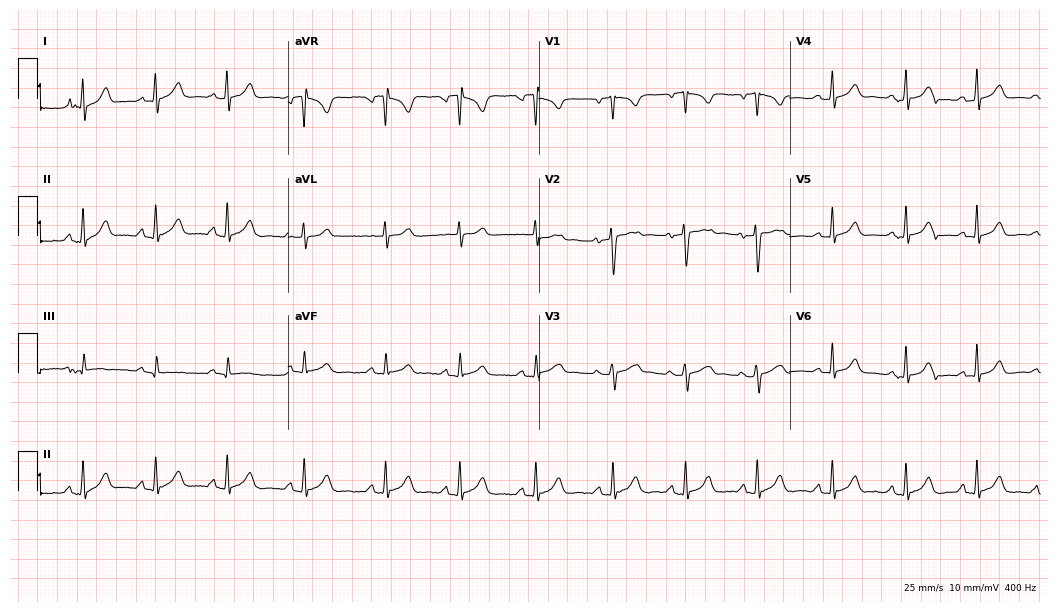
12-lead ECG (10.2-second recording at 400 Hz) from a woman, 28 years old. Screened for six findings — first-degree AV block, right bundle branch block, left bundle branch block, sinus bradycardia, atrial fibrillation, sinus tachycardia — none is recorded.